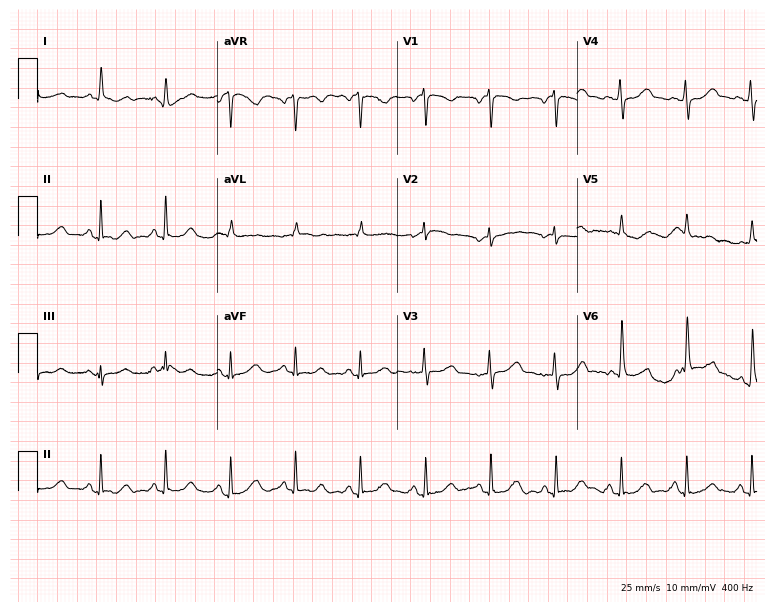
12-lead ECG from an 85-year-old female patient (7.3-second recording at 400 Hz). Recorded interpretation: within normal limits.